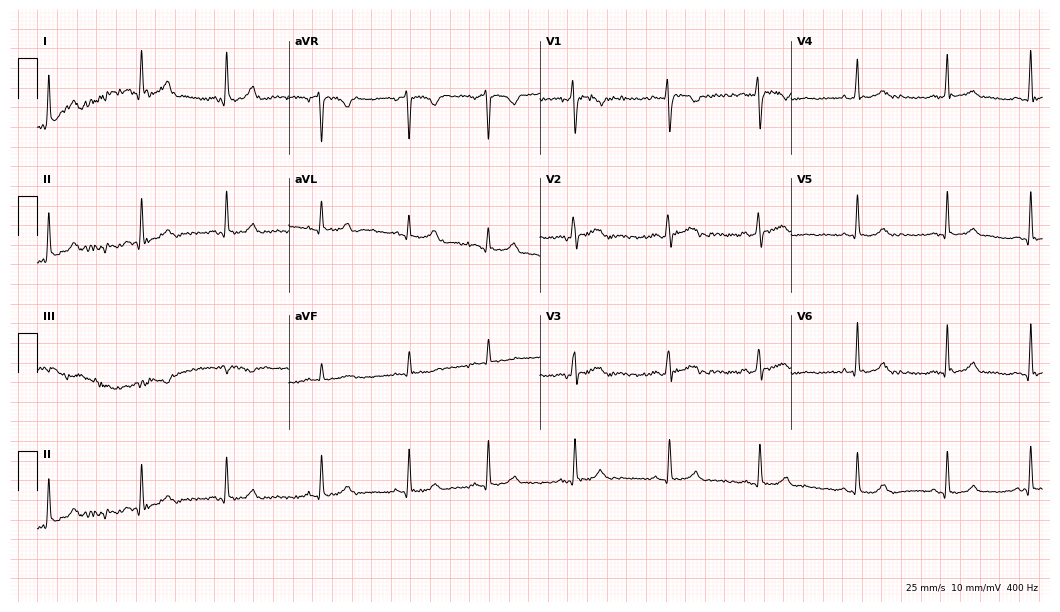
12-lead ECG from a female, 27 years old. Labelled as a normal ECG.